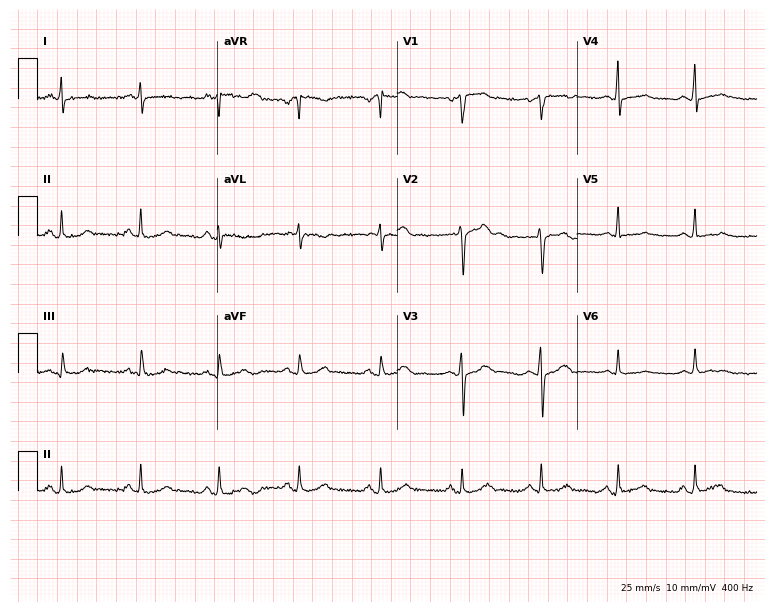
12-lead ECG (7.3-second recording at 400 Hz) from a male patient, 45 years old. Screened for six findings — first-degree AV block, right bundle branch block, left bundle branch block, sinus bradycardia, atrial fibrillation, sinus tachycardia — none is recorded.